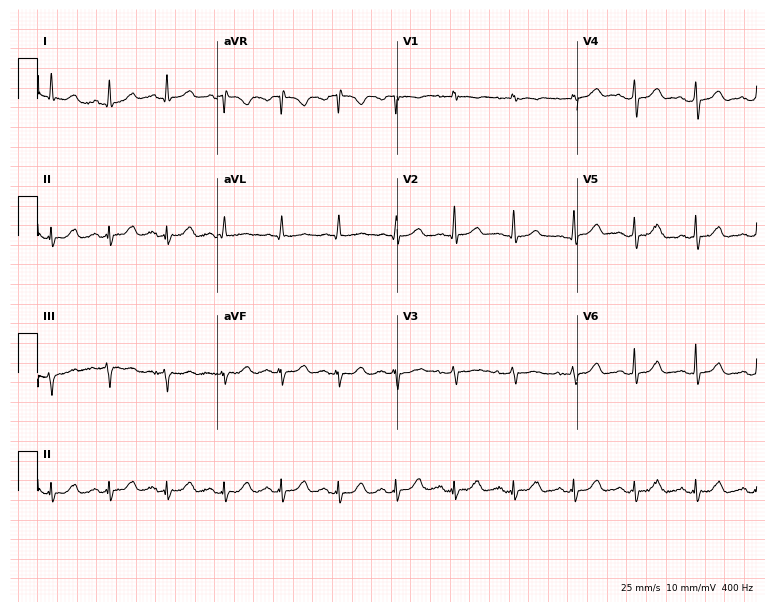
Resting 12-lead electrocardiogram (7.3-second recording at 400 Hz). Patient: a 69-year-old female. Read as a normal ECG.